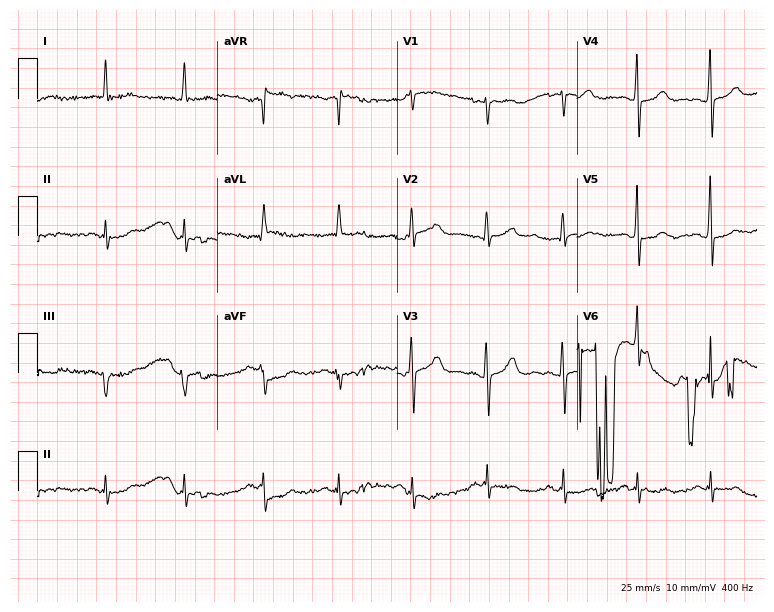
12-lead ECG from a woman, 76 years old. No first-degree AV block, right bundle branch block (RBBB), left bundle branch block (LBBB), sinus bradycardia, atrial fibrillation (AF) or sinus tachycardia recorded for this tracing.